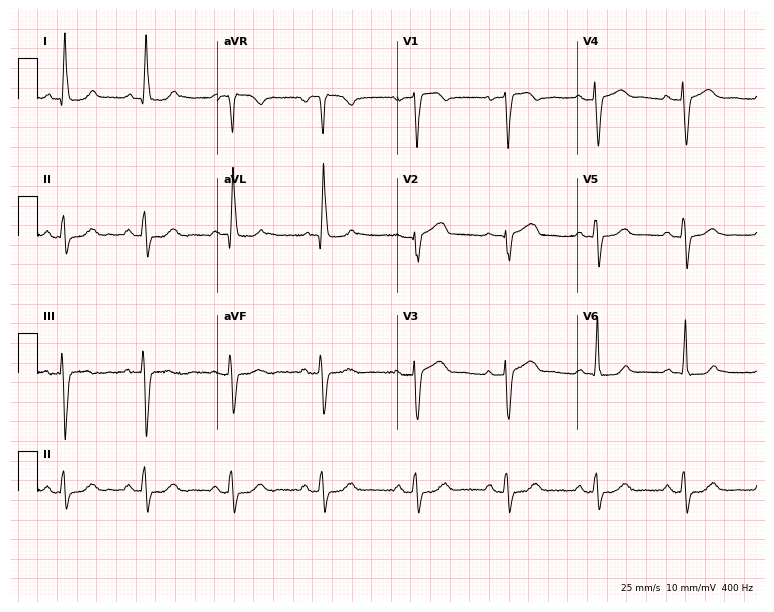
Resting 12-lead electrocardiogram (7.3-second recording at 400 Hz). Patient: a 64-year-old woman. None of these six findings is recorded: first-degree AV block, right bundle branch block, left bundle branch block, sinus bradycardia, atrial fibrillation, sinus tachycardia. Other findings, if any, are not listed.